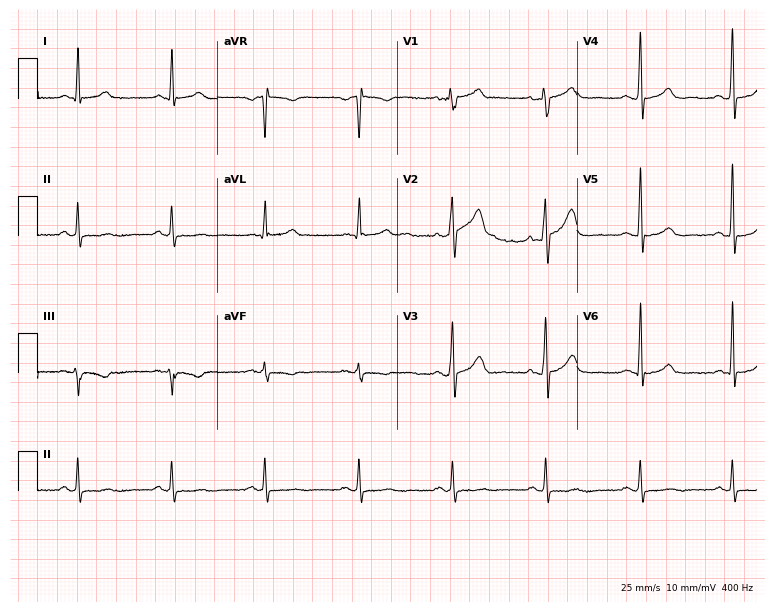
Electrocardiogram (7.3-second recording at 400 Hz), a male patient, 54 years old. Of the six screened findings (first-degree AV block, right bundle branch block, left bundle branch block, sinus bradycardia, atrial fibrillation, sinus tachycardia), none is recorded.